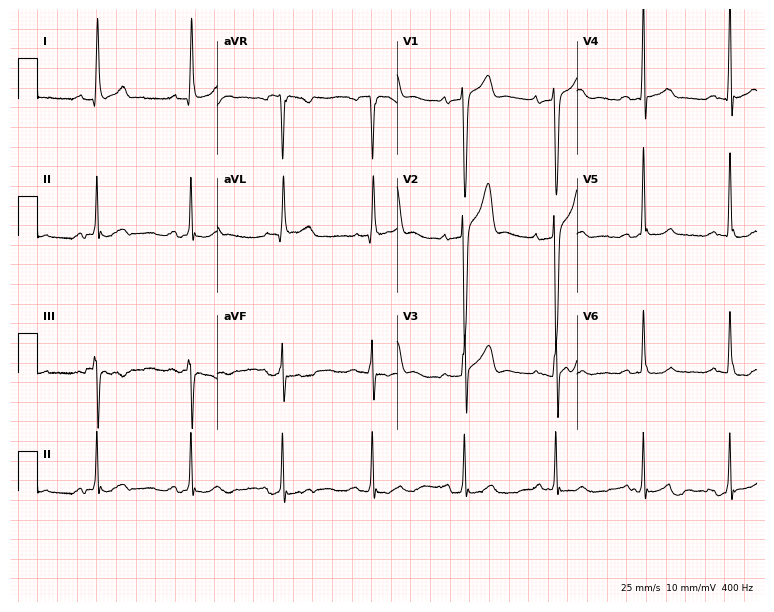
Resting 12-lead electrocardiogram. Patient: a male, 45 years old. Read as a normal ECG.